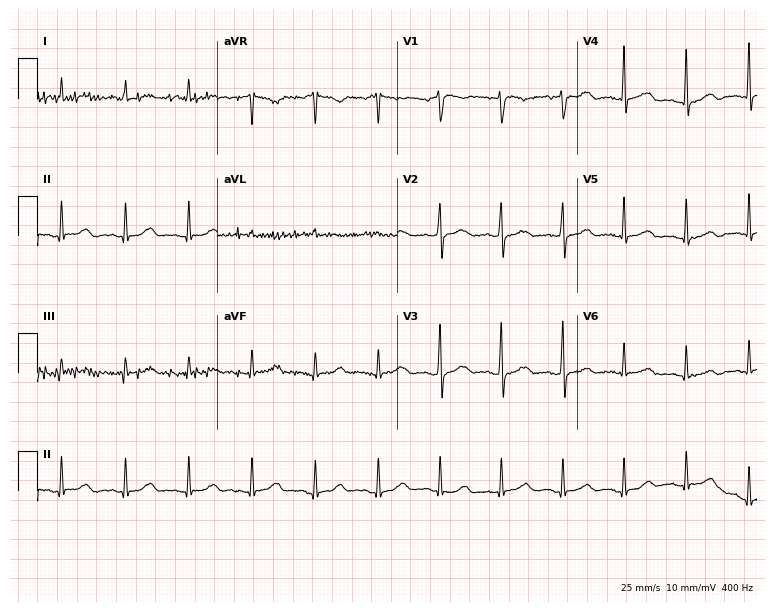
12-lead ECG from a woman, 56 years old. Recorded interpretation: within normal limits.